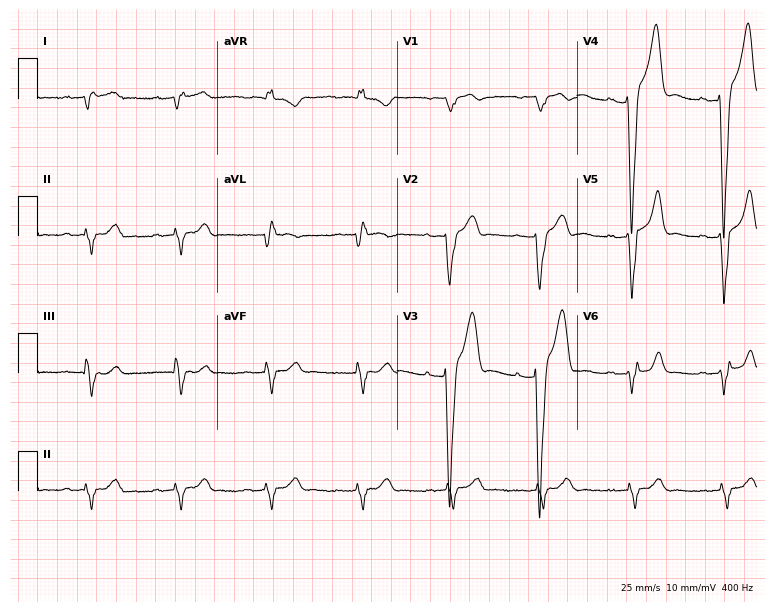
ECG — a man, 59 years old. Findings include first-degree AV block.